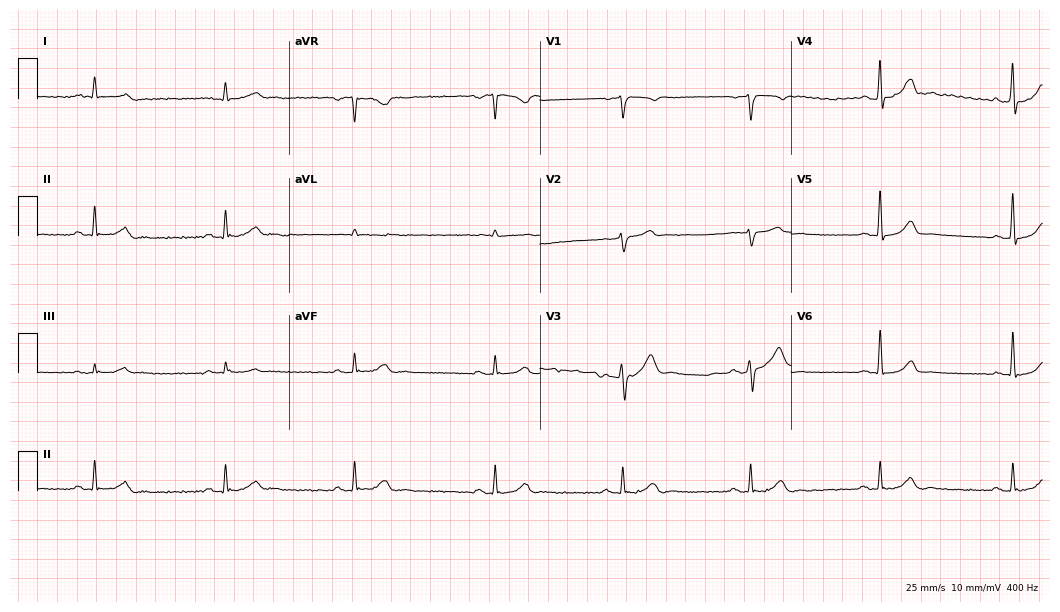
12-lead ECG from a male patient, 49 years old (10.2-second recording at 400 Hz). Shows sinus bradycardia (a sinus rate of 50 beats per minute or less).